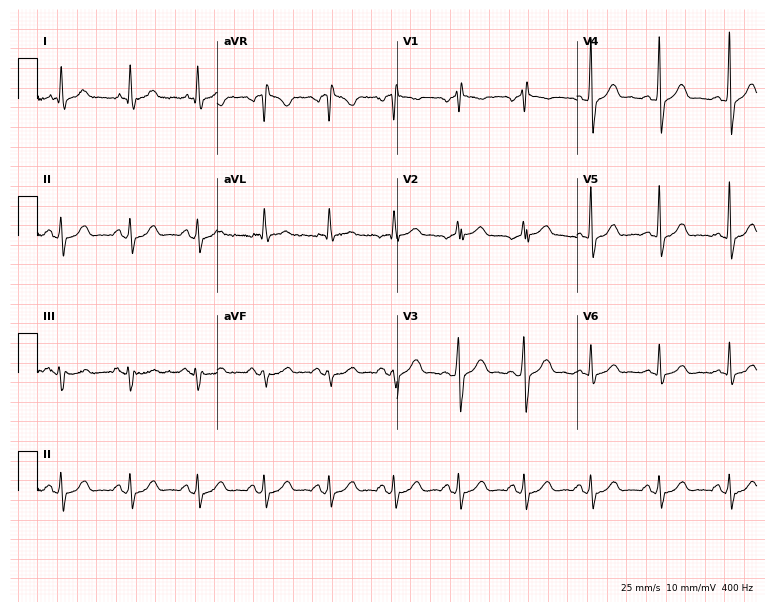
12-lead ECG from a male, 63 years old. No first-degree AV block, right bundle branch block, left bundle branch block, sinus bradycardia, atrial fibrillation or sinus tachycardia recorded for this tracing. Only these six findings were labelled.